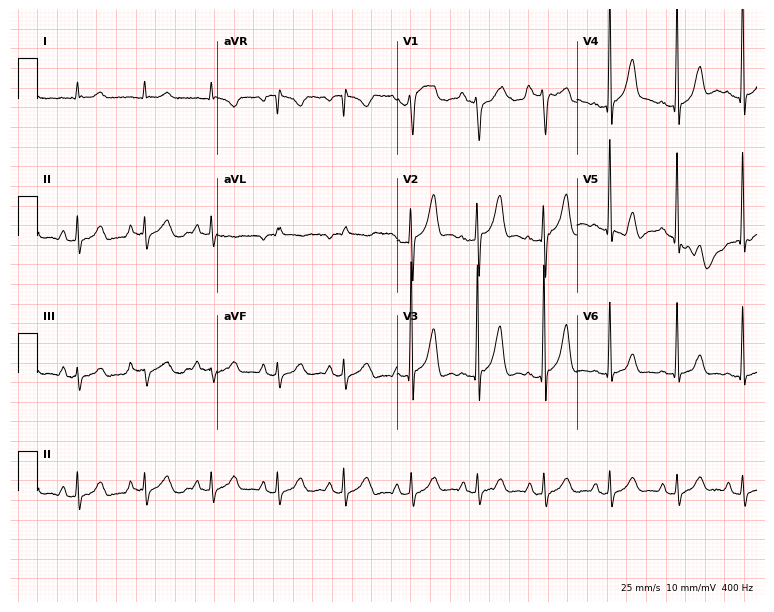
12-lead ECG from a male, 80 years old (7.3-second recording at 400 Hz). Recorded interpretation: within normal limits.